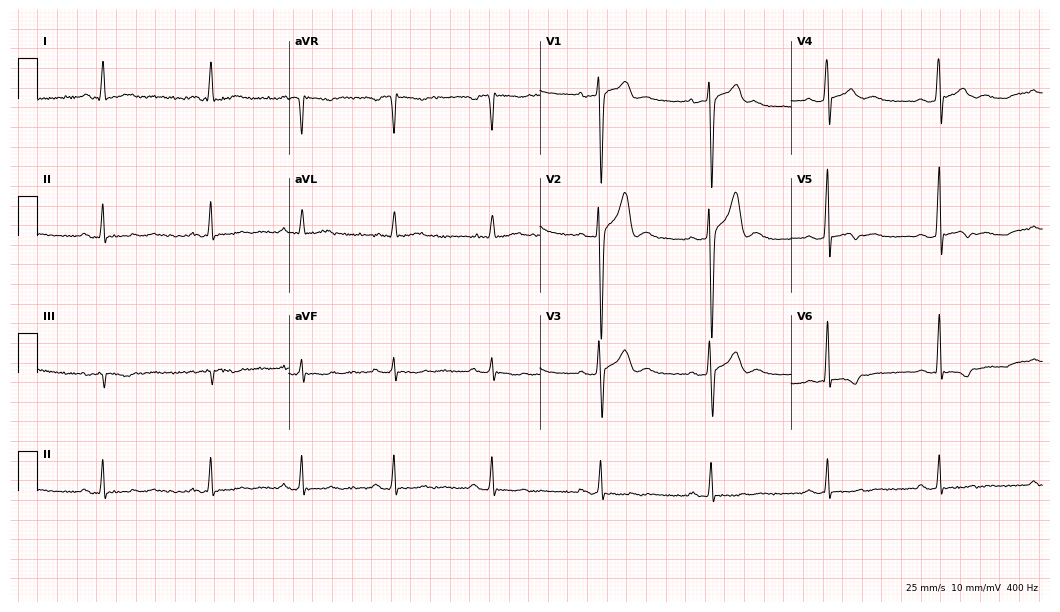
Resting 12-lead electrocardiogram (10.2-second recording at 400 Hz). Patient: a 42-year-old male. None of these six findings is recorded: first-degree AV block, right bundle branch block, left bundle branch block, sinus bradycardia, atrial fibrillation, sinus tachycardia. Only these six findings were labelled.